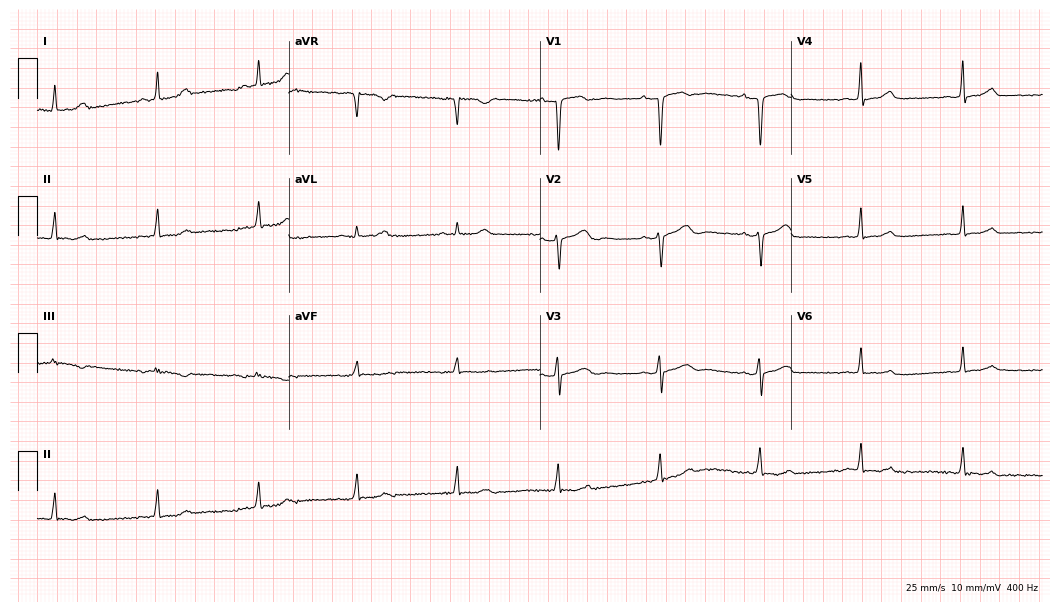
ECG — a 36-year-old woman. Labelled as a normal ECG.